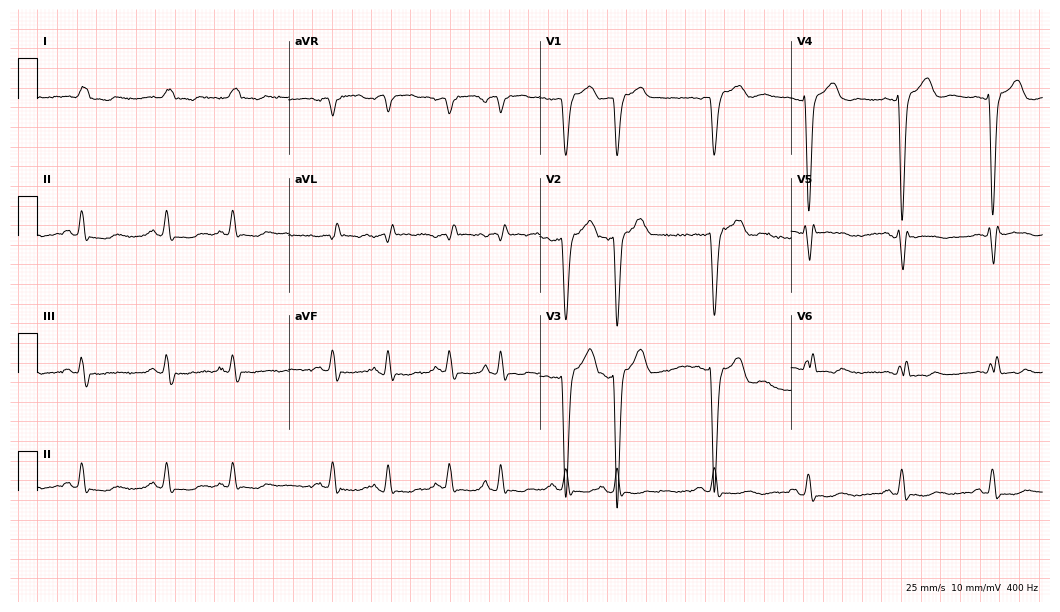
Electrocardiogram (10.2-second recording at 400 Hz), an 85-year-old male. Interpretation includes left bundle branch block (LBBB), atrial fibrillation (AF).